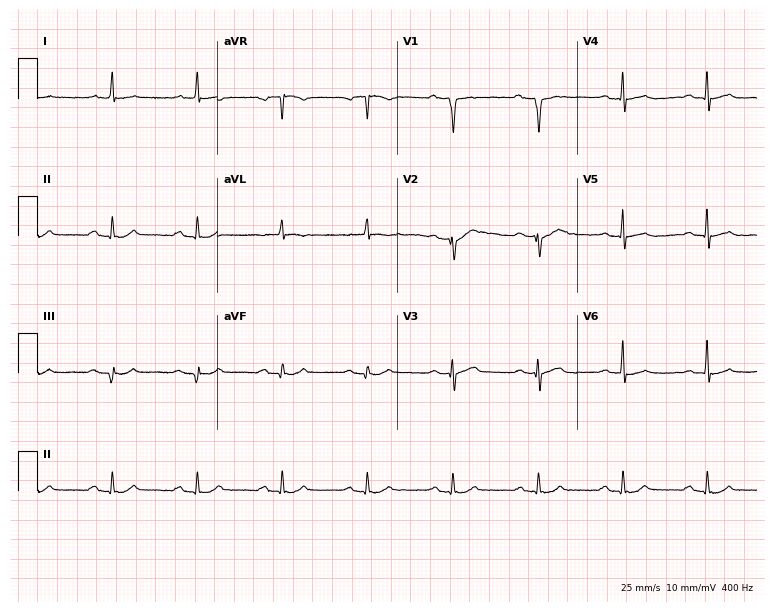
ECG (7.3-second recording at 400 Hz) — an 85-year-old male. Labelled as a normal ECG.